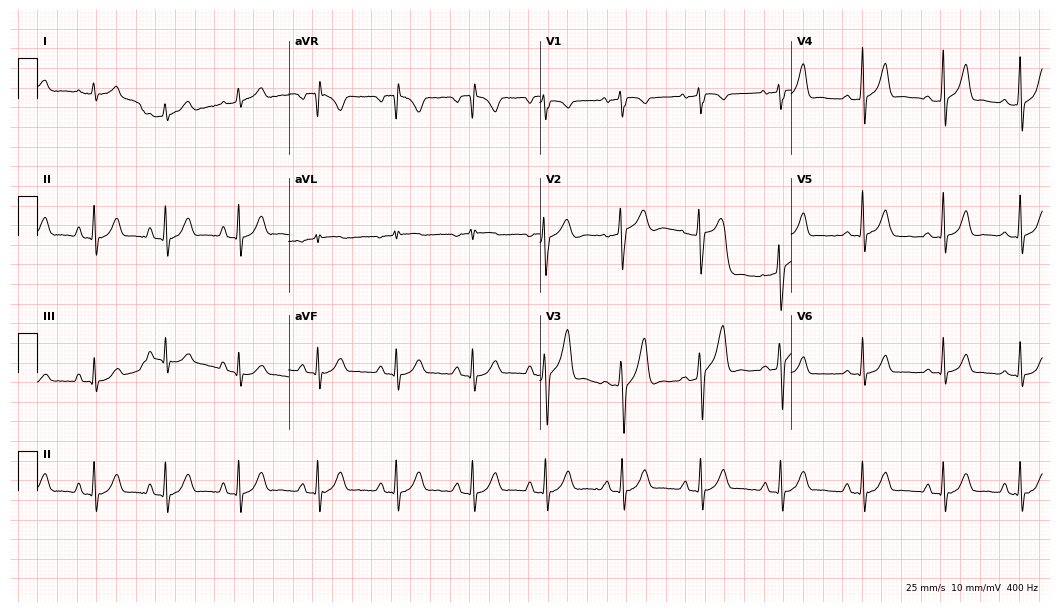
ECG — a male, 24 years old. Screened for six findings — first-degree AV block, right bundle branch block, left bundle branch block, sinus bradycardia, atrial fibrillation, sinus tachycardia — none is recorded.